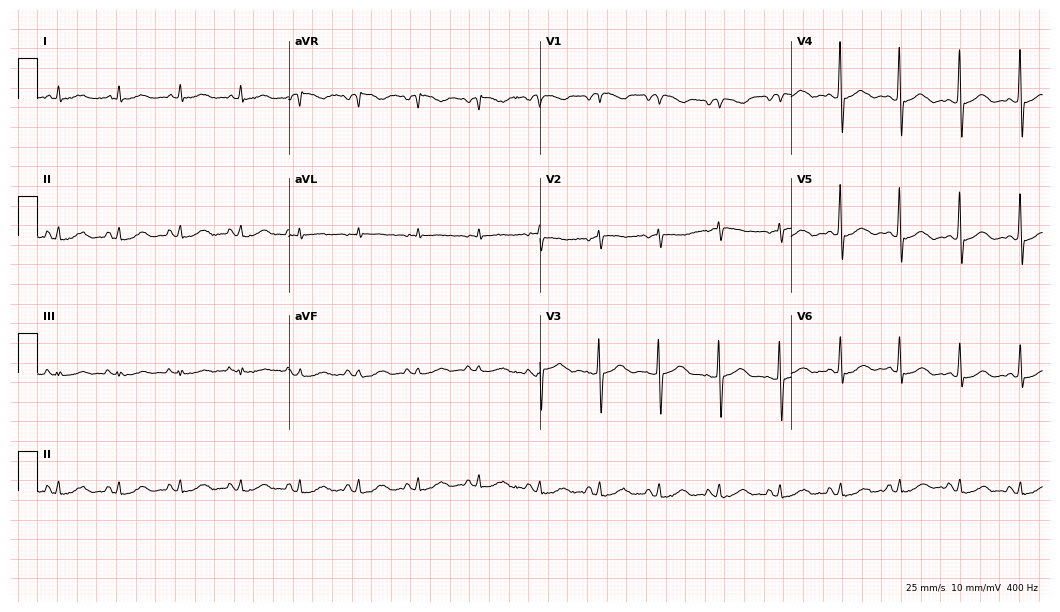
Resting 12-lead electrocardiogram (10.2-second recording at 400 Hz). Patient: an 82-year-old female. Read as a normal ECG.